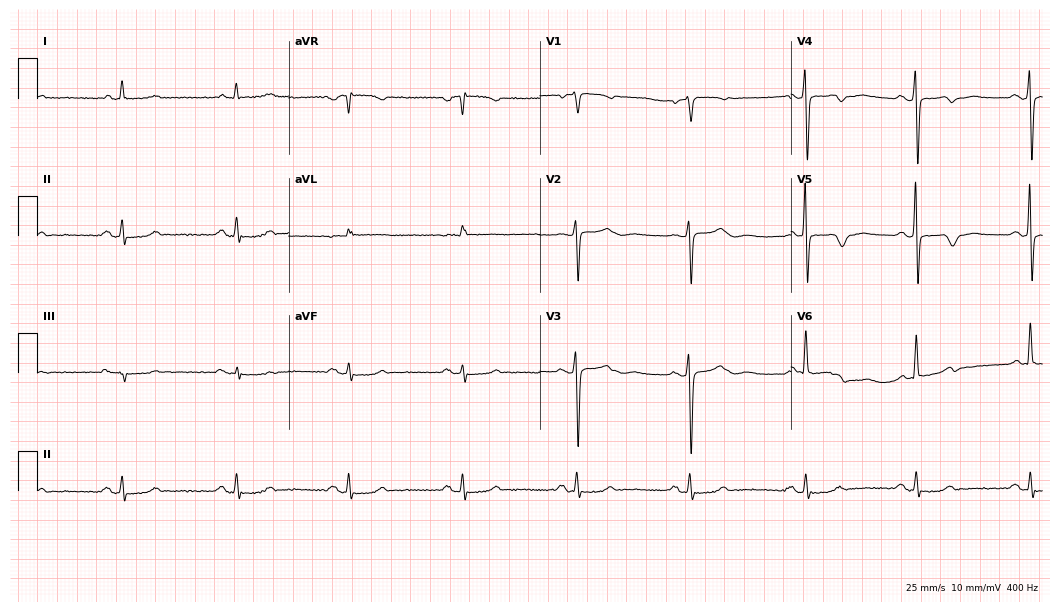
12-lead ECG from a woman, 80 years old. Screened for six findings — first-degree AV block, right bundle branch block (RBBB), left bundle branch block (LBBB), sinus bradycardia, atrial fibrillation (AF), sinus tachycardia — none is recorded. Only these six findings were labelled.